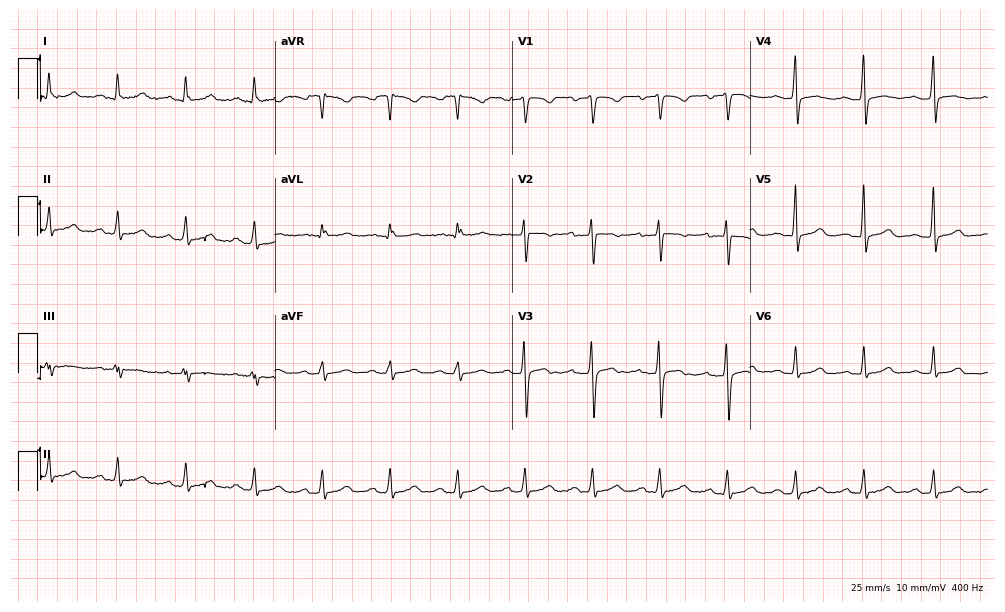
12-lead ECG (9.7-second recording at 400 Hz) from a woman, 36 years old. Labelled as a normal ECG.